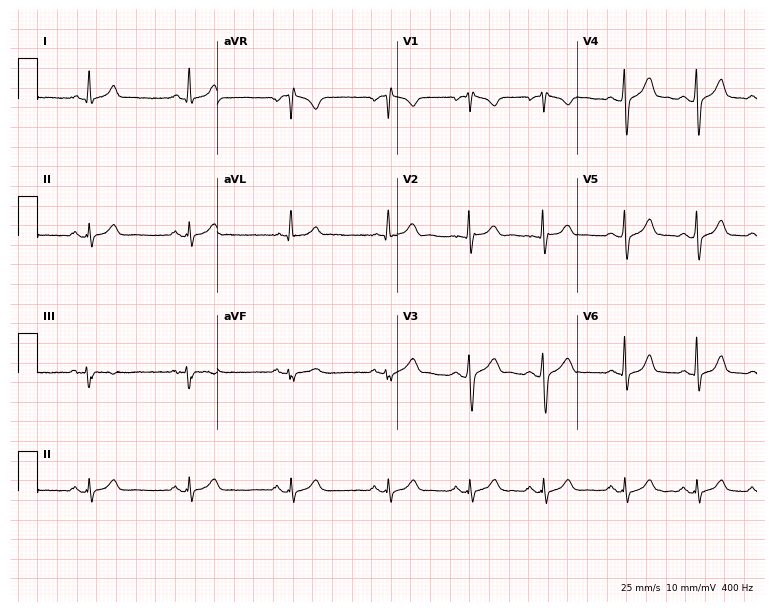
12-lead ECG from a man, 17 years old (7.3-second recording at 400 Hz). Recorded interpretation: within normal limits.